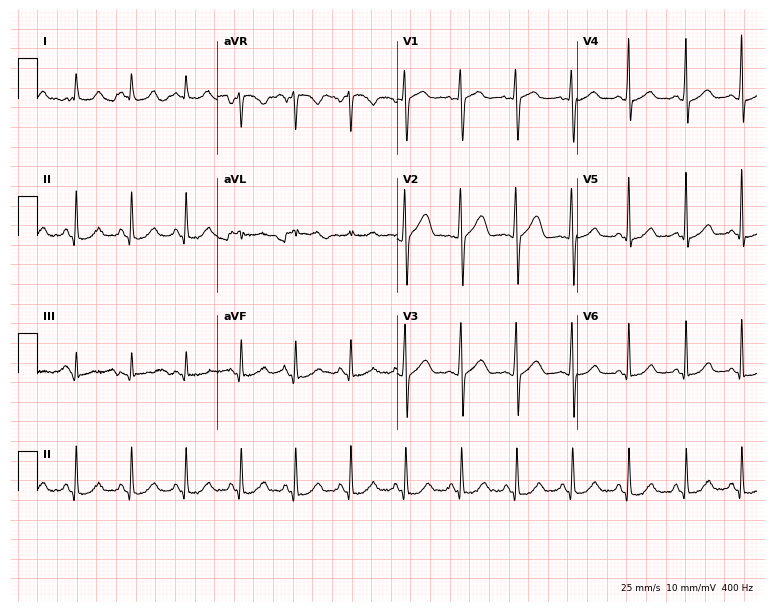
12-lead ECG from a woman, 35 years old (7.3-second recording at 400 Hz). Shows sinus tachycardia (a sinus rate of 100 beats per minute or more).